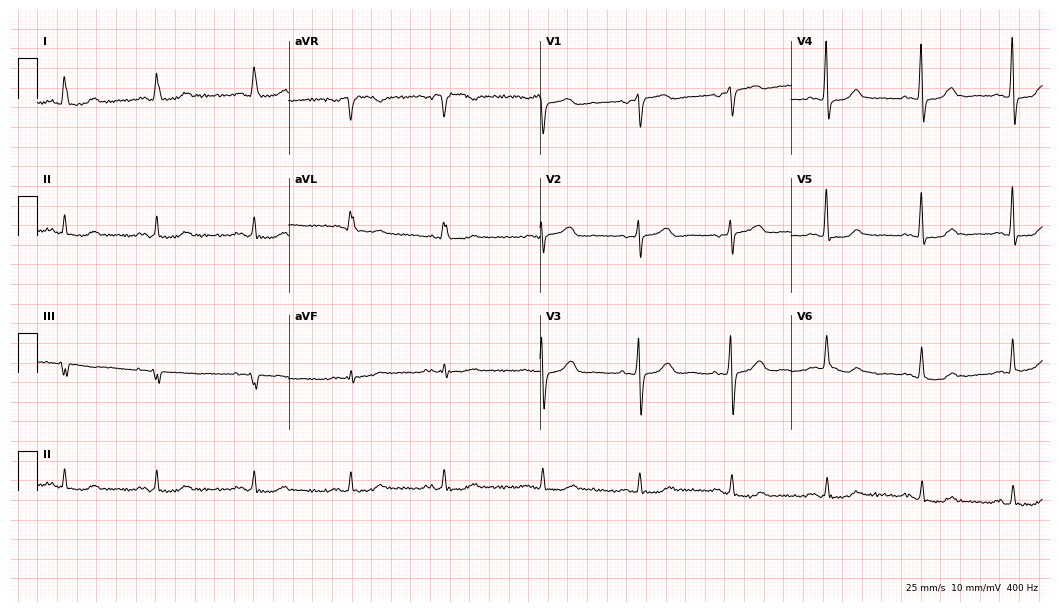
Electrocardiogram, a 73-year-old female patient. Of the six screened findings (first-degree AV block, right bundle branch block, left bundle branch block, sinus bradycardia, atrial fibrillation, sinus tachycardia), none is recorded.